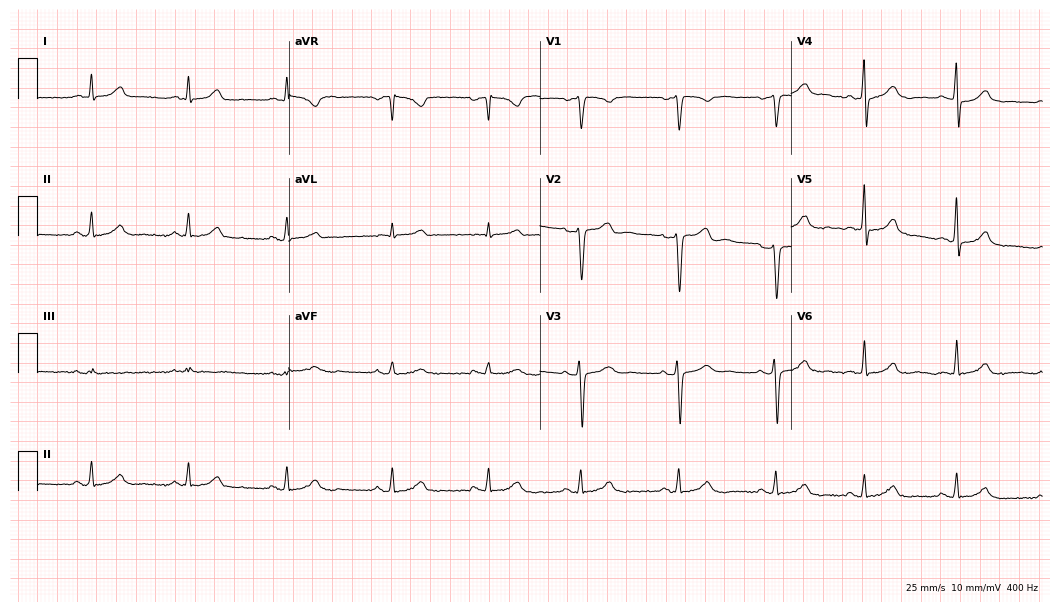
Resting 12-lead electrocardiogram. Patient: a male, 36 years old. Read as a normal ECG.